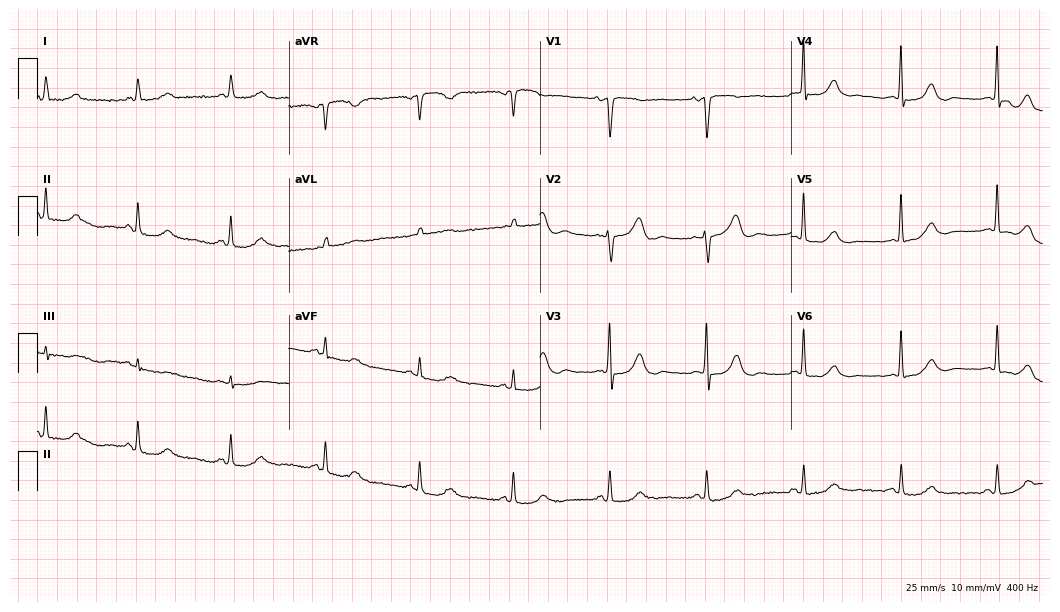
Electrocardiogram (10.2-second recording at 400 Hz), a woman, 81 years old. Overall reading on record: normal ECG.